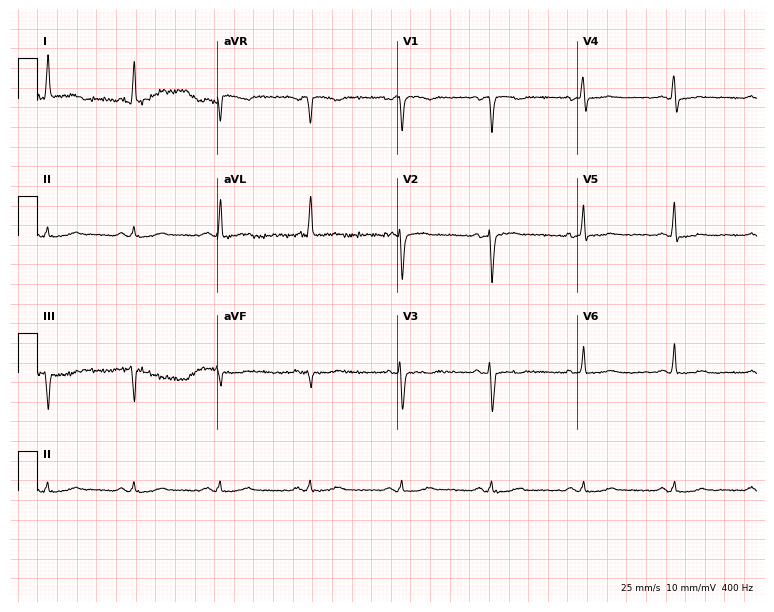
Electrocardiogram, a 57-year-old woman. Of the six screened findings (first-degree AV block, right bundle branch block, left bundle branch block, sinus bradycardia, atrial fibrillation, sinus tachycardia), none is recorded.